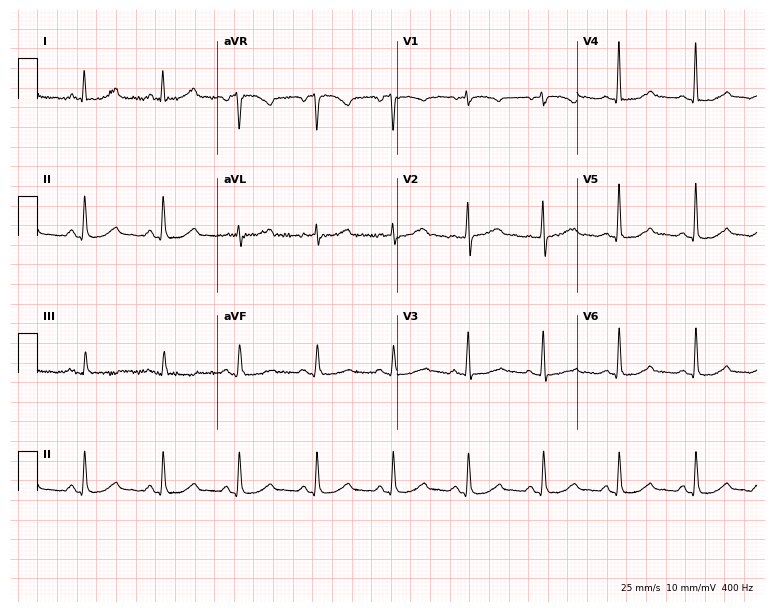
ECG (7.3-second recording at 400 Hz) — a female, 69 years old. Labelled as a normal ECG.